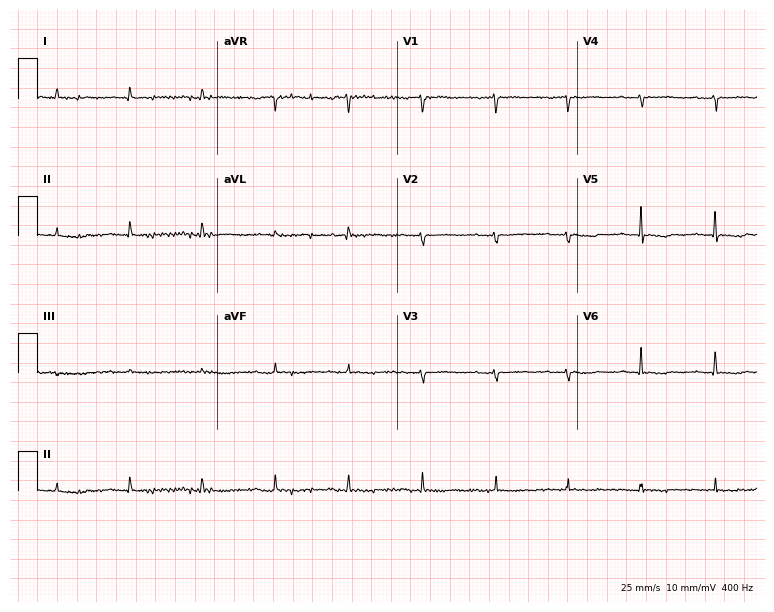
12-lead ECG (7.3-second recording at 400 Hz) from a 74-year-old woman. Screened for six findings — first-degree AV block, right bundle branch block (RBBB), left bundle branch block (LBBB), sinus bradycardia, atrial fibrillation (AF), sinus tachycardia — none is recorded.